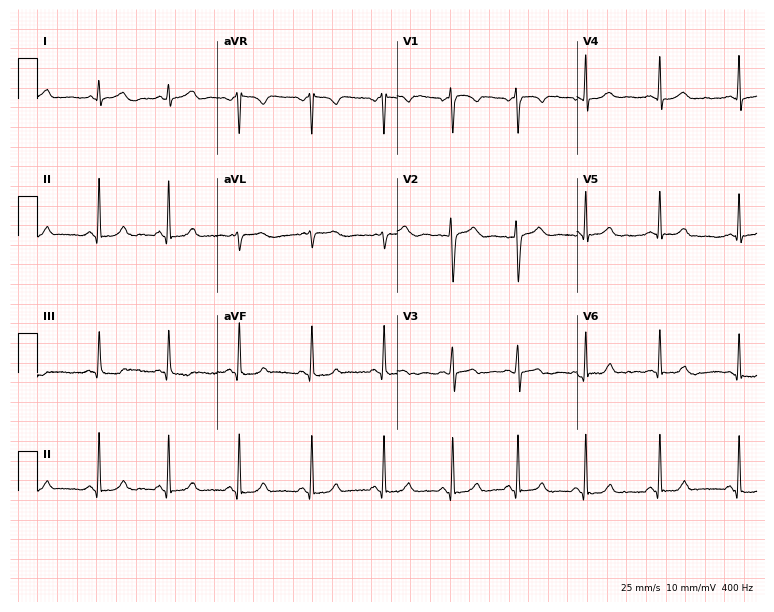
Standard 12-lead ECG recorded from a 30-year-old female. Read as a normal ECG.